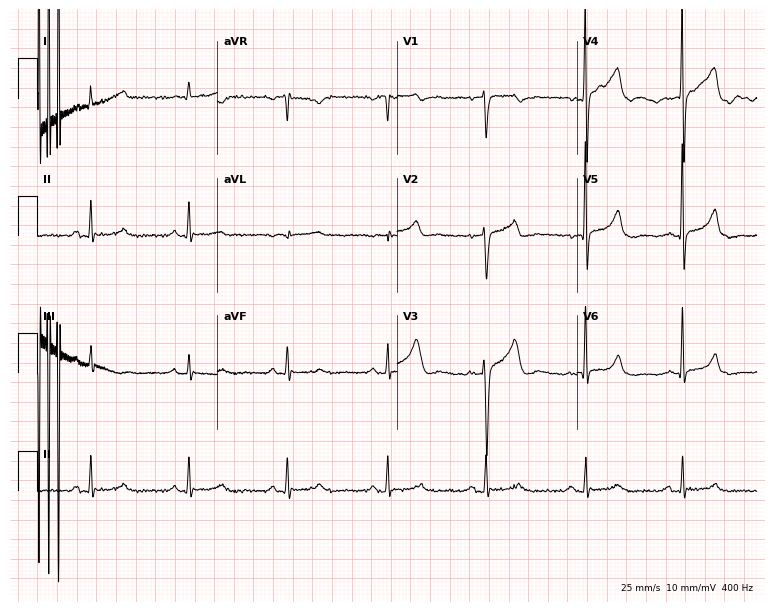
12-lead ECG from a 59-year-old male. Labelled as a normal ECG.